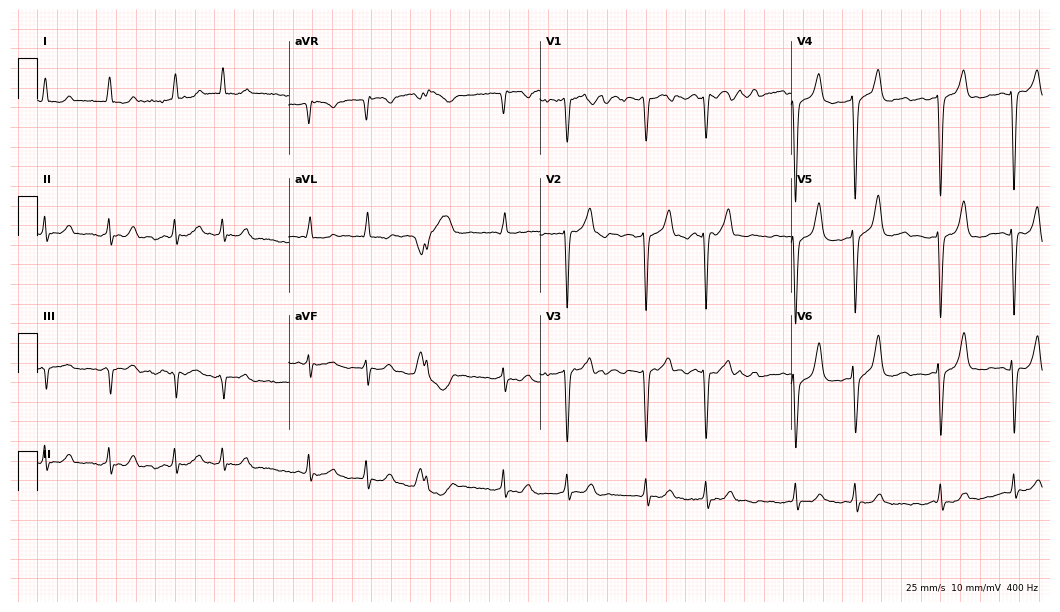
Standard 12-lead ECG recorded from an 85-year-old male. The tracing shows atrial fibrillation.